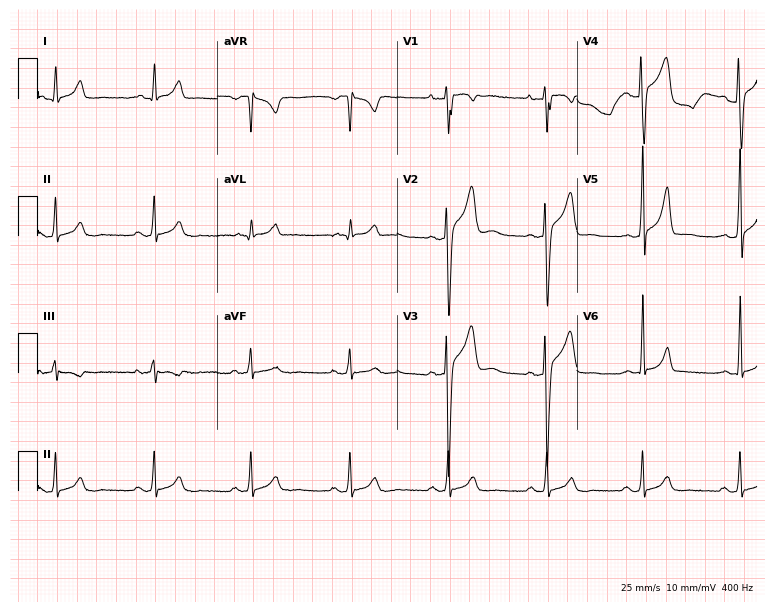
ECG (7.3-second recording at 400 Hz) — a 23-year-old male. Labelled as a normal ECG.